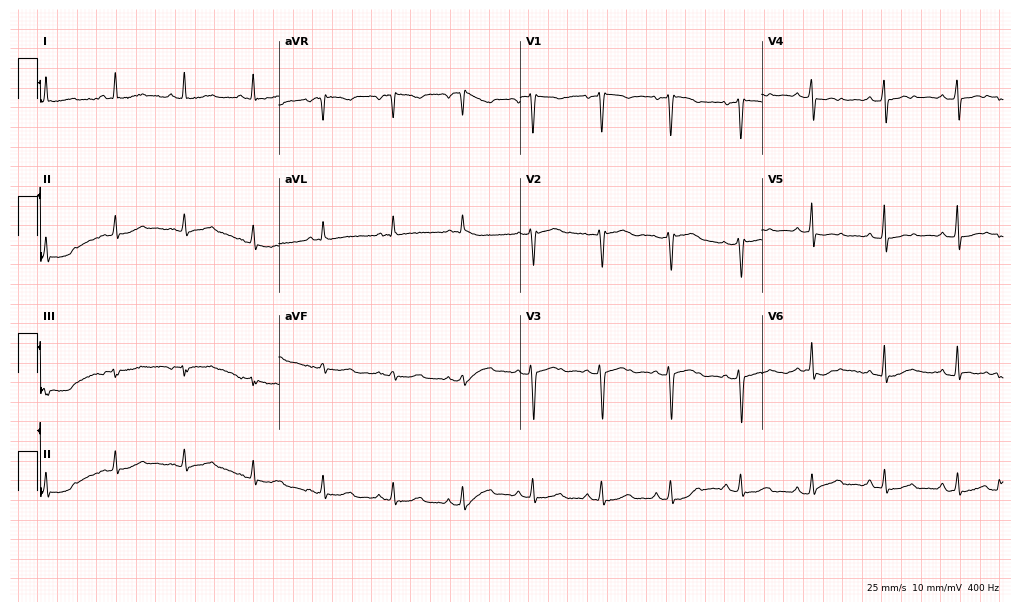
Resting 12-lead electrocardiogram. Patient: a woman, 53 years old. None of these six findings is recorded: first-degree AV block, right bundle branch block (RBBB), left bundle branch block (LBBB), sinus bradycardia, atrial fibrillation (AF), sinus tachycardia. Other findings, if any, are not listed.